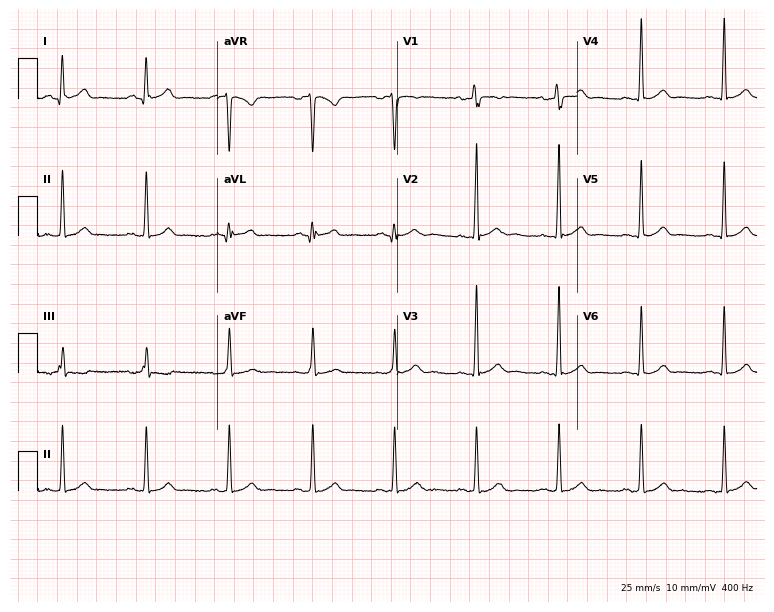
ECG (7.3-second recording at 400 Hz) — a 30-year-old male patient. Labelled as a normal ECG.